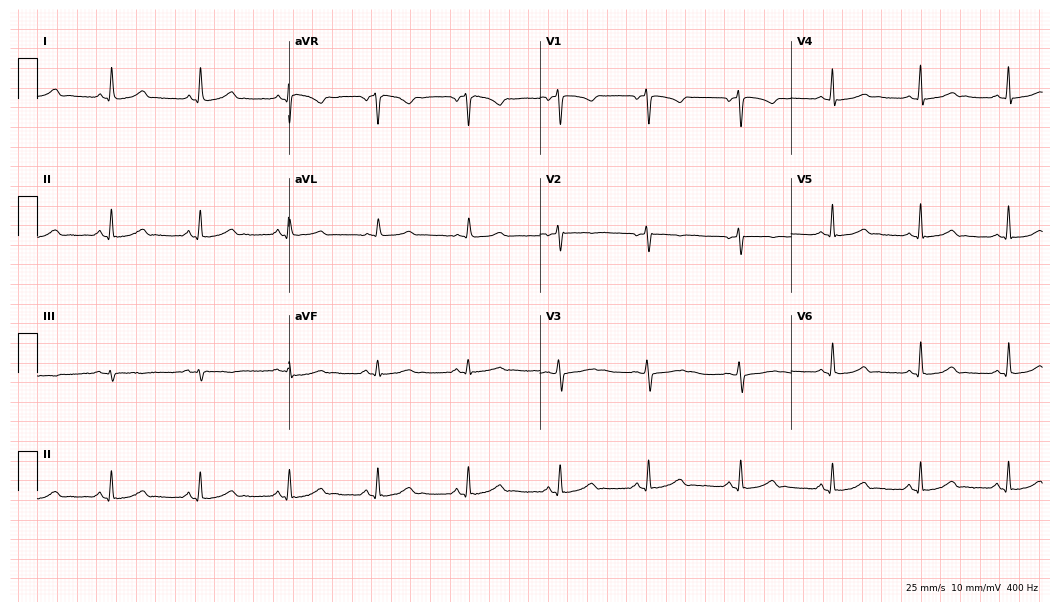
ECG (10.2-second recording at 400 Hz) — a 28-year-old female. Labelled as a normal ECG.